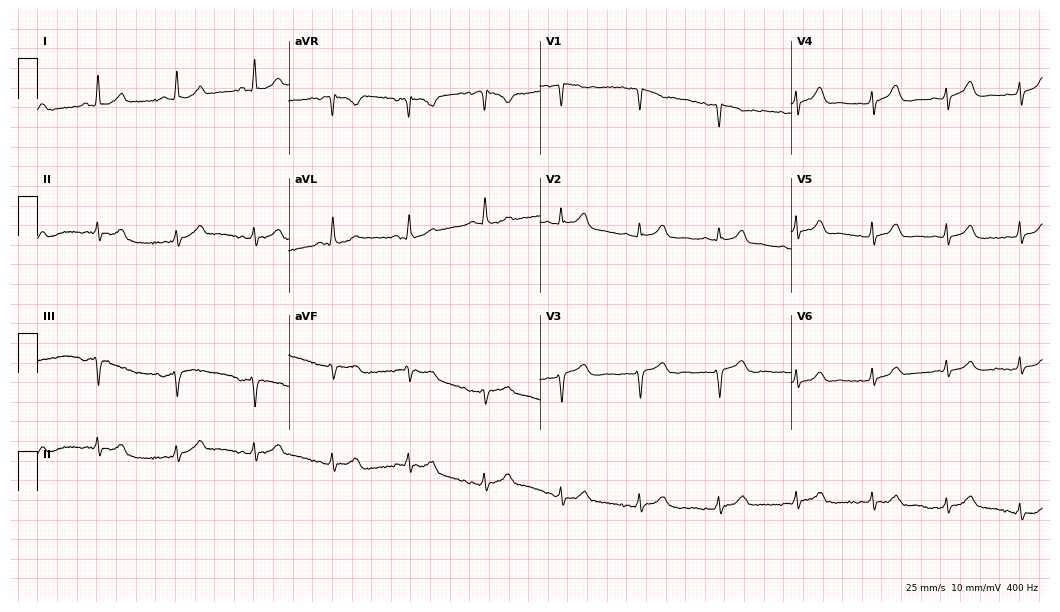
Standard 12-lead ECG recorded from a woman, 56 years old. Read as a normal ECG.